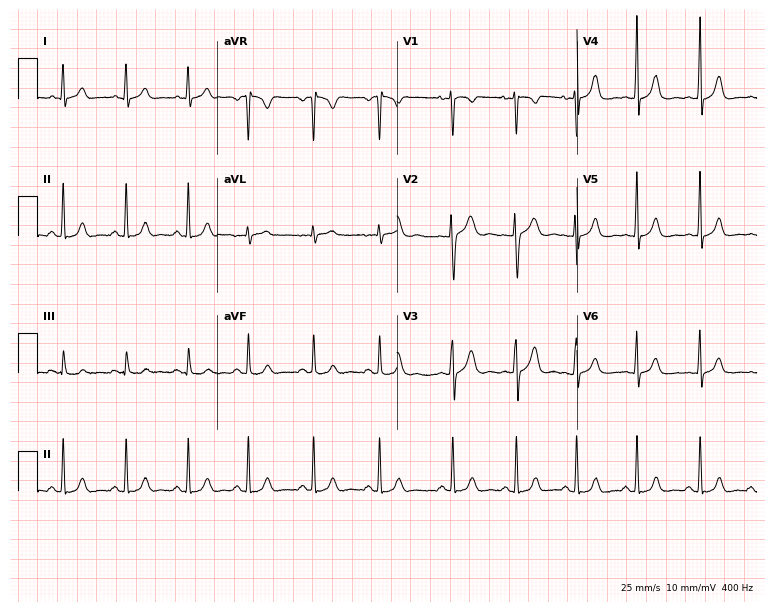
ECG (7.3-second recording at 400 Hz) — a female, 20 years old. Labelled as a normal ECG.